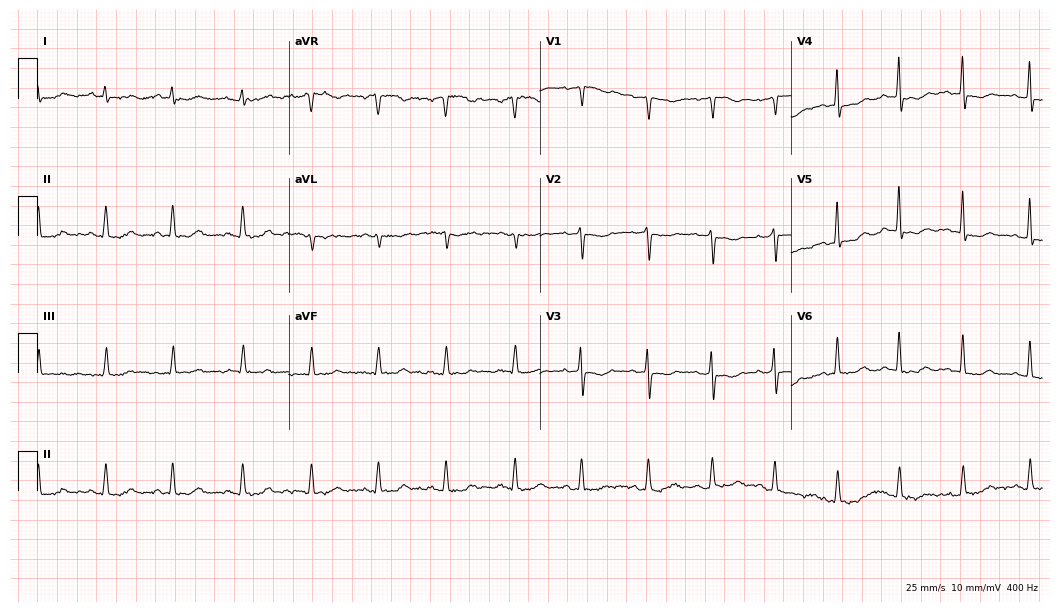
12-lead ECG from a 55-year-old woman (10.2-second recording at 400 Hz). No first-degree AV block, right bundle branch block (RBBB), left bundle branch block (LBBB), sinus bradycardia, atrial fibrillation (AF) or sinus tachycardia recorded for this tracing.